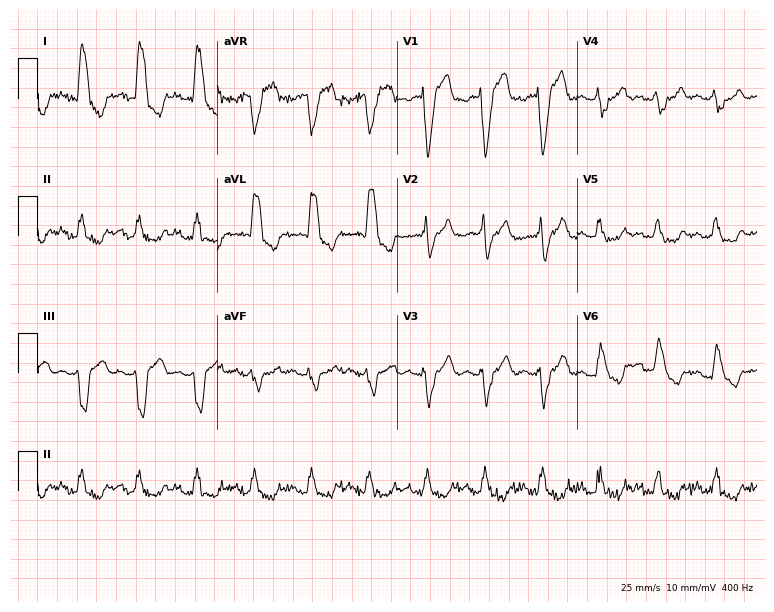
12-lead ECG (7.3-second recording at 400 Hz) from a 74-year-old female. Findings include left bundle branch block (LBBB).